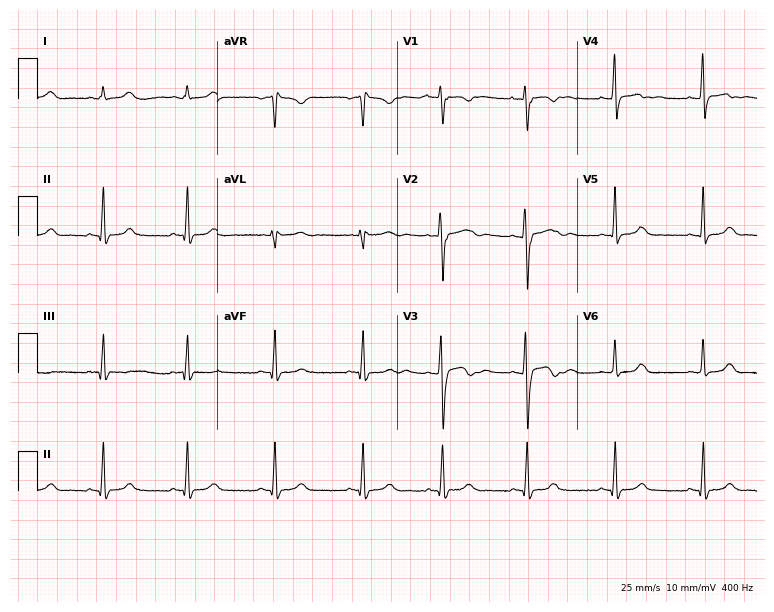
12-lead ECG from a 24-year-old female. Labelled as a normal ECG.